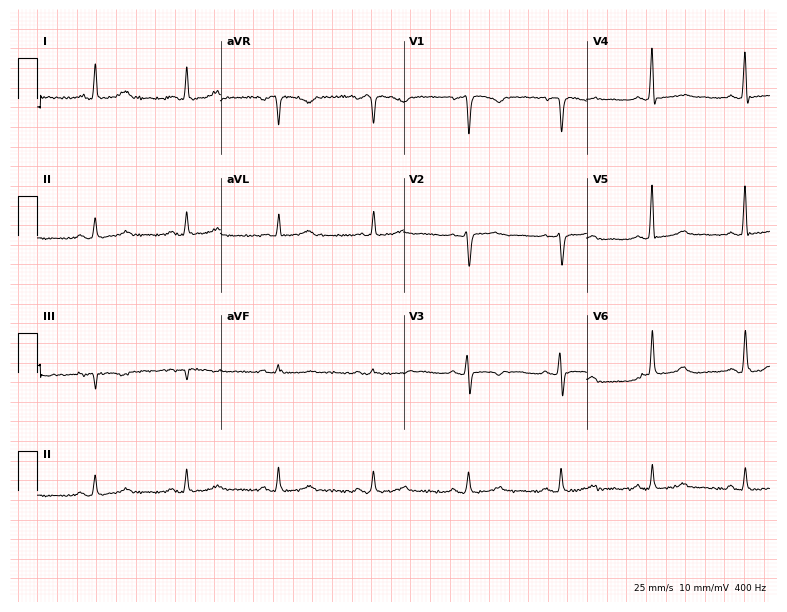
Electrocardiogram (7.5-second recording at 400 Hz), a female patient, 42 years old. Overall reading on record: normal ECG.